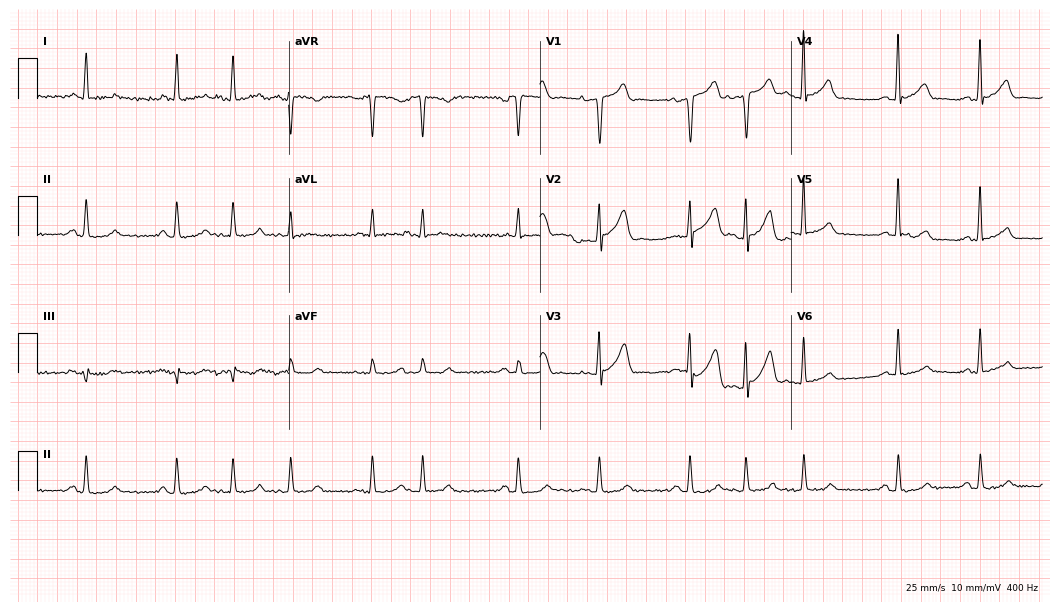
Electrocardiogram (10.2-second recording at 400 Hz), a 75-year-old male patient. Overall reading on record: normal ECG.